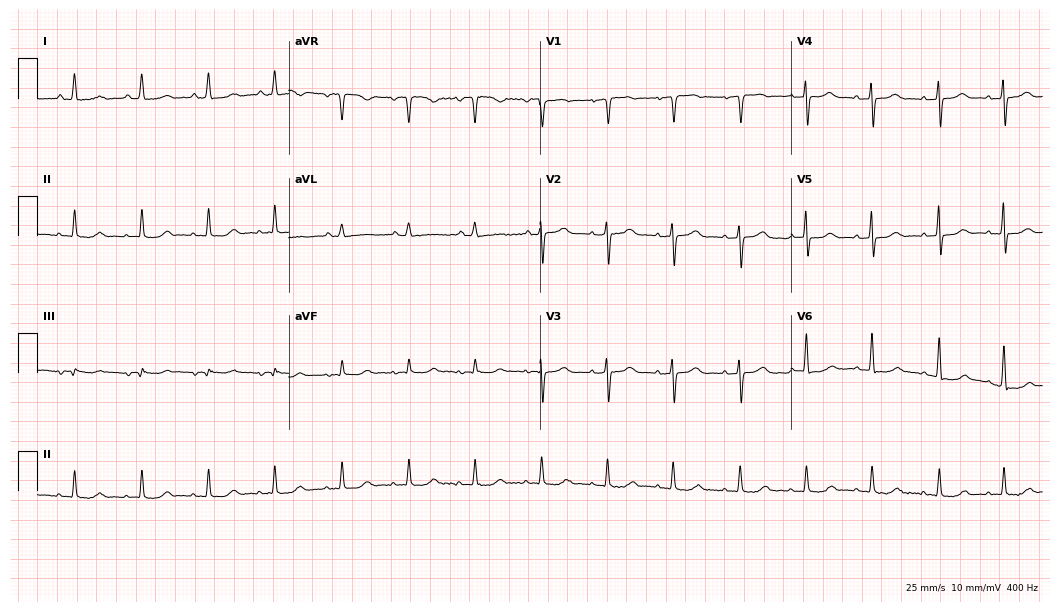
12-lead ECG from a female patient, 70 years old (10.2-second recording at 400 Hz). Recorded interpretation: within normal limits.